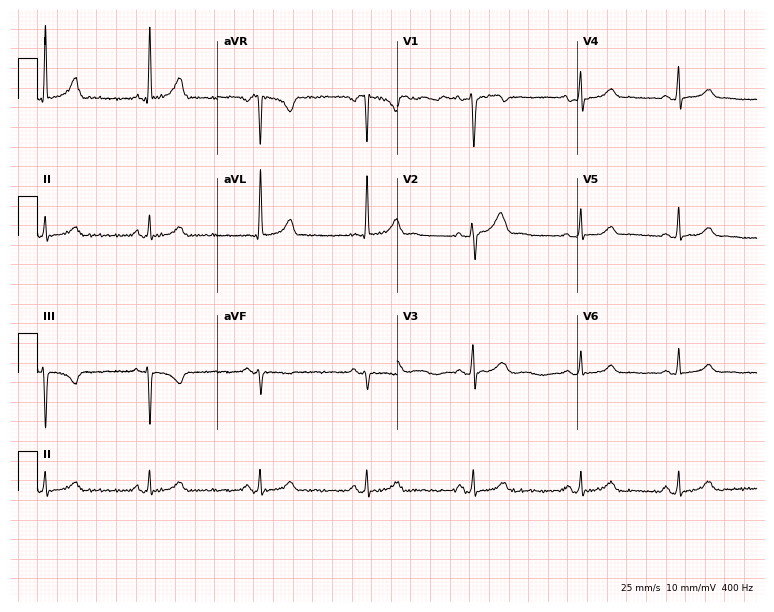
12-lead ECG from a female patient, 35 years old. Recorded interpretation: within normal limits.